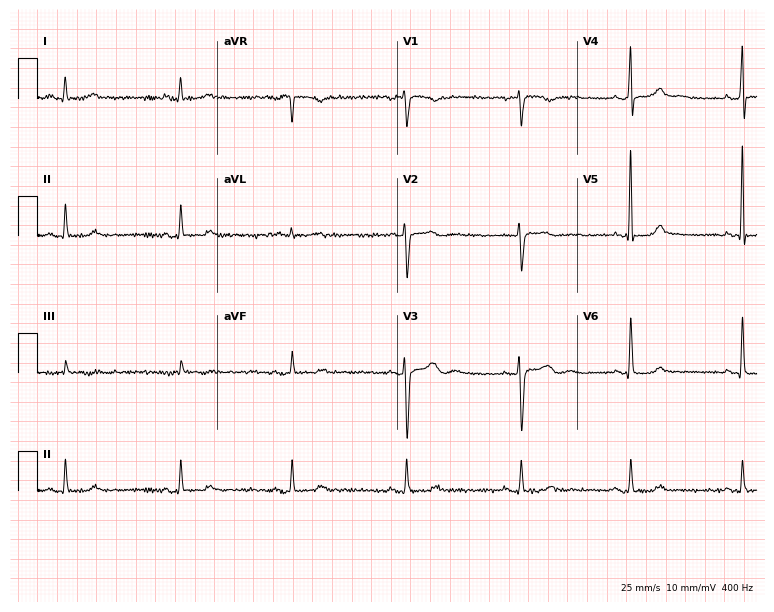
12-lead ECG from a 38-year-old woman. No first-degree AV block, right bundle branch block, left bundle branch block, sinus bradycardia, atrial fibrillation or sinus tachycardia recorded for this tracing. Other findings, if any, are not listed.